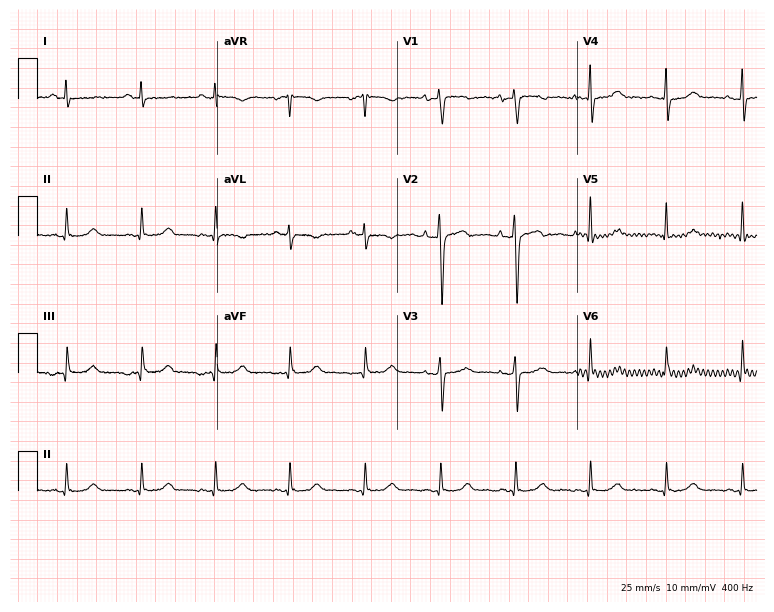
12-lead ECG (7.3-second recording at 400 Hz) from a 53-year-old woman. Labelled as a normal ECG.